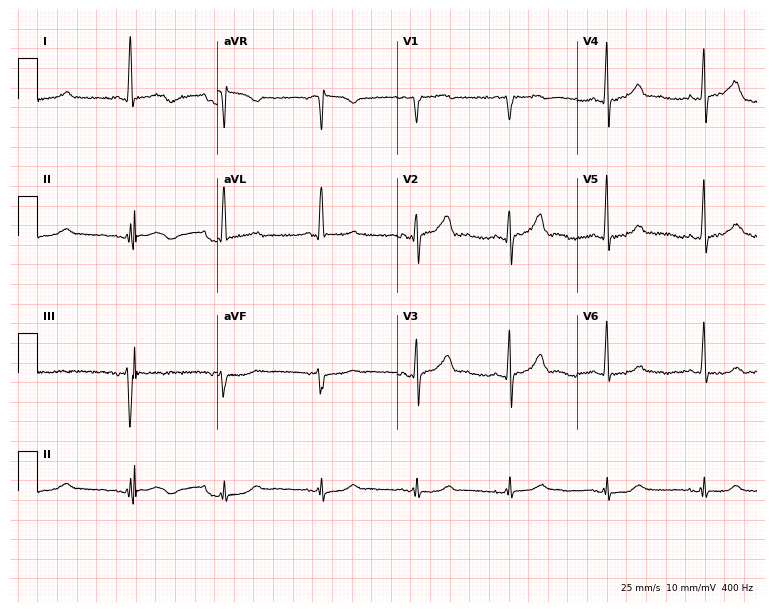
12-lead ECG from a 57-year-old female patient. Screened for six findings — first-degree AV block, right bundle branch block, left bundle branch block, sinus bradycardia, atrial fibrillation, sinus tachycardia — none is recorded.